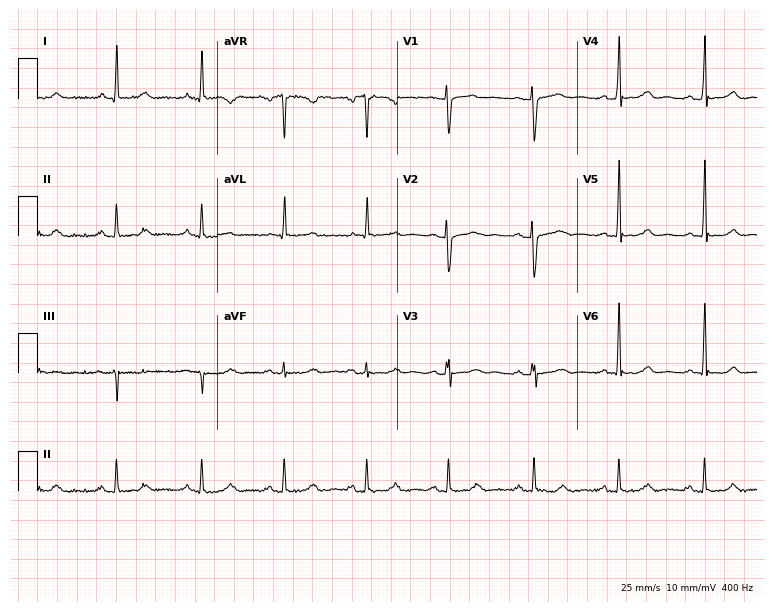
12-lead ECG (7.3-second recording at 400 Hz) from a female, 51 years old. Screened for six findings — first-degree AV block, right bundle branch block, left bundle branch block, sinus bradycardia, atrial fibrillation, sinus tachycardia — none is recorded. Only these six findings were labelled.